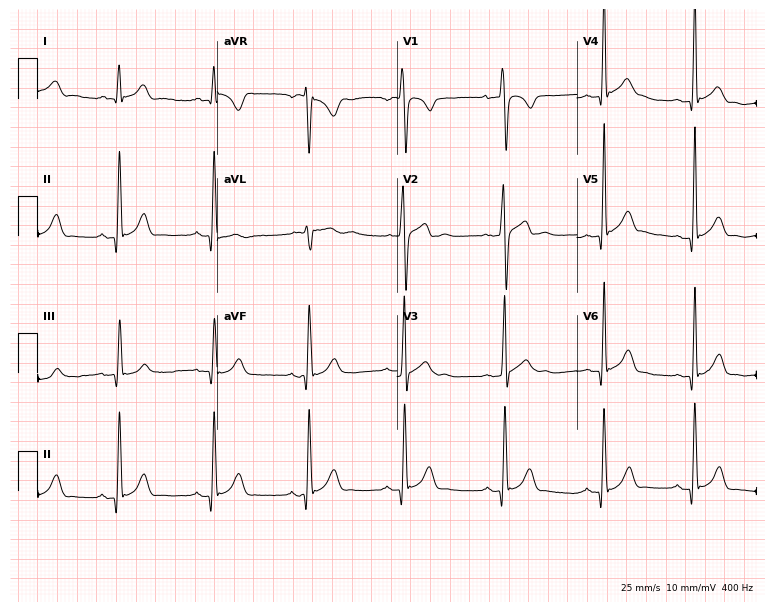
Resting 12-lead electrocardiogram. Patient: a male, 22 years old. None of these six findings is recorded: first-degree AV block, right bundle branch block, left bundle branch block, sinus bradycardia, atrial fibrillation, sinus tachycardia.